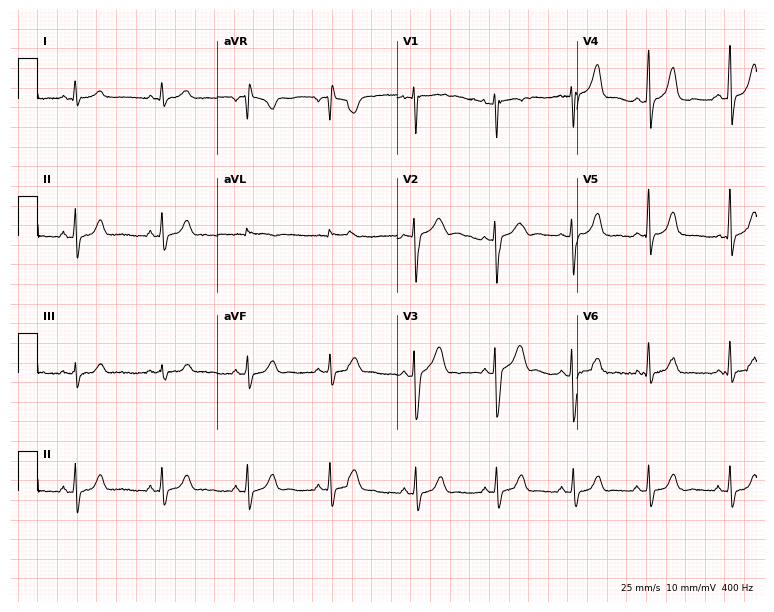
Electrocardiogram (7.3-second recording at 400 Hz), a female, 27 years old. Overall reading on record: normal ECG.